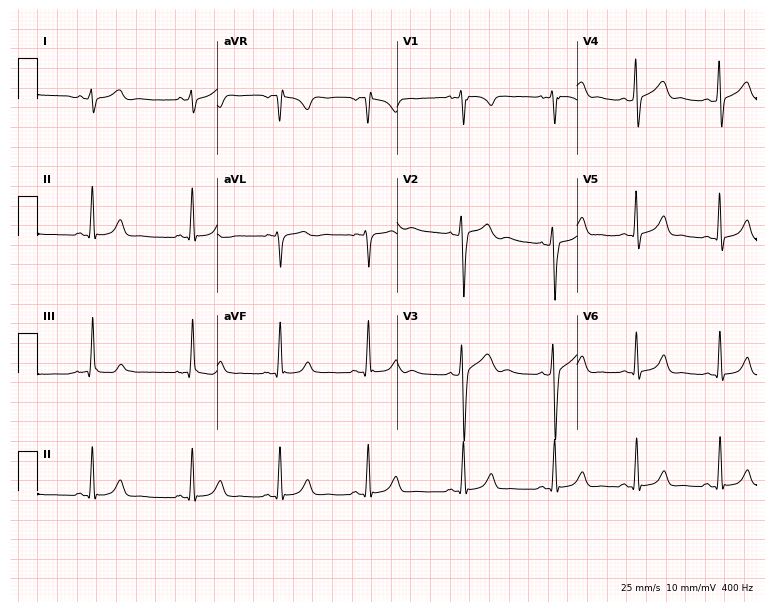
12-lead ECG (7.3-second recording at 400 Hz) from a 22-year-old male. Screened for six findings — first-degree AV block, right bundle branch block, left bundle branch block, sinus bradycardia, atrial fibrillation, sinus tachycardia — none is recorded.